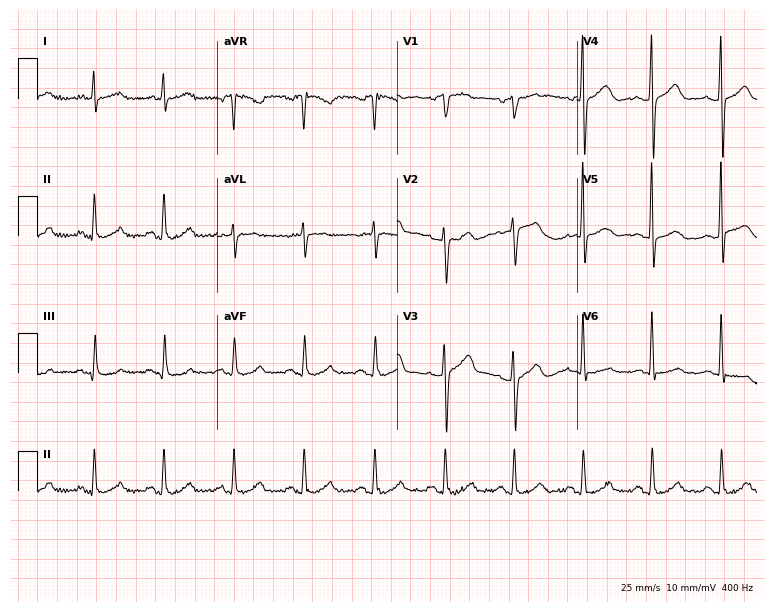
12-lead ECG from a 64-year-old male patient. Screened for six findings — first-degree AV block, right bundle branch block, left bundle branch block, sinus bradycardia, atrial fibrillation, sinus tachycardia — none is recorded.